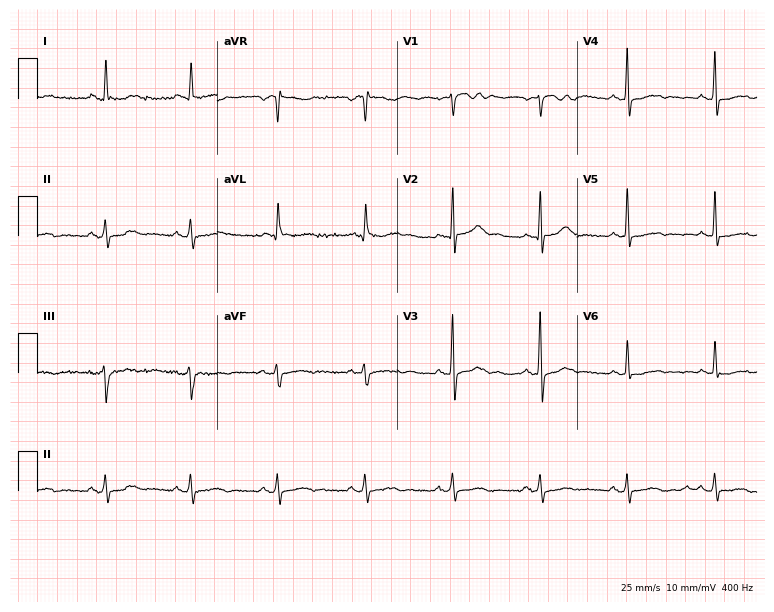
Electrocardiogram (7.3-second recording at 400 Hz), a 64-year-old male patient. Overall reading on record: normal ECG.